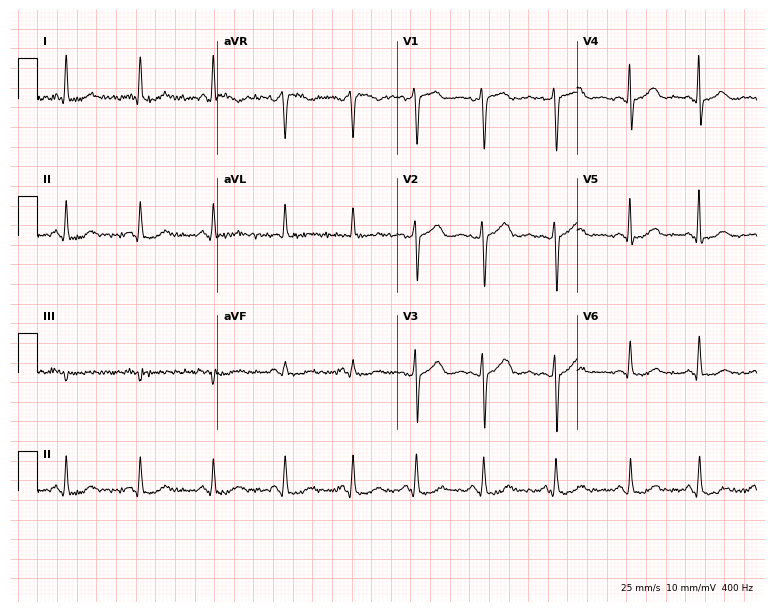
Resting 12-lead electrocardiogram (7.3-second recording at 400 Hz). Patient: a female, 50 years old. Read as a normal ECG.